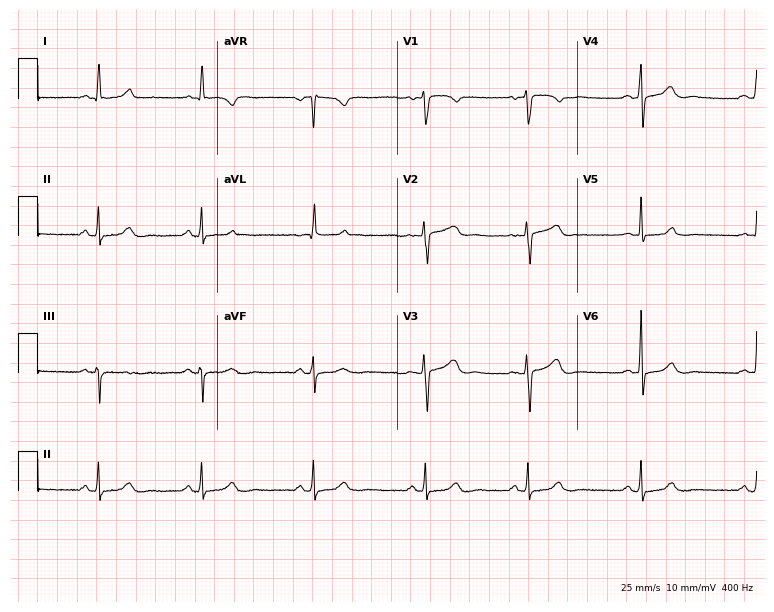
12-lead ECG (7.3-second recording at 400 Hz) from a female patient, 39 years old. Screened for six findings — first-degree AV block, right bundle branch block, left bundle branch block, sinus bradycardia, atrial fibrillation, sinus tachycardia — none is recorded.